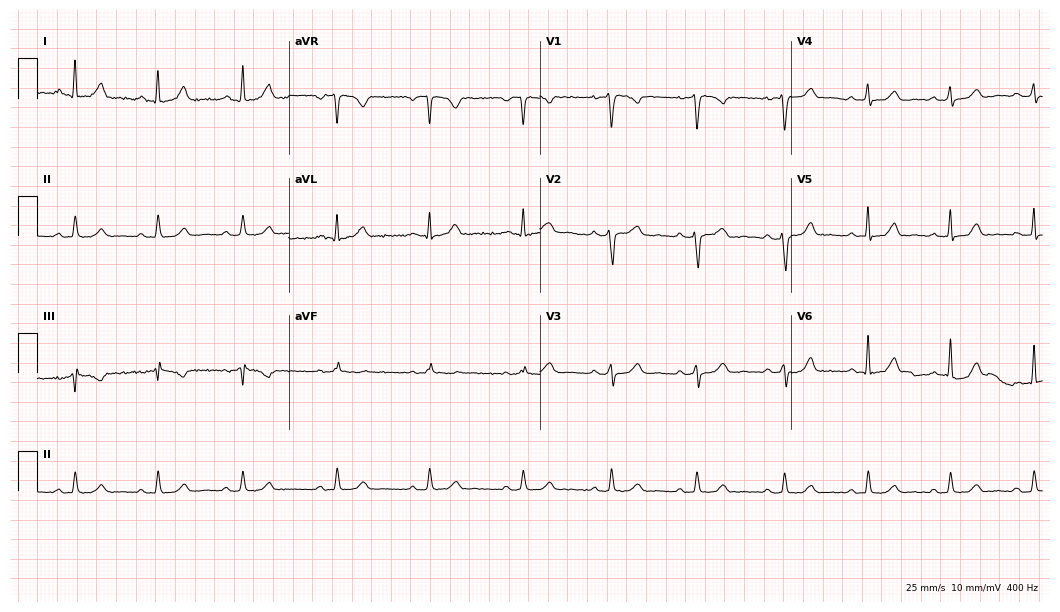
Standard 12-lead ECG recorded from a 44-year-old female patient. None of these six findings is recorded: first-degree AV block, right bundle branch block, left bundle branch block, sinus bradycardia, atrial fibrillation, sinus tachycardia. Only these six findings were labelled.